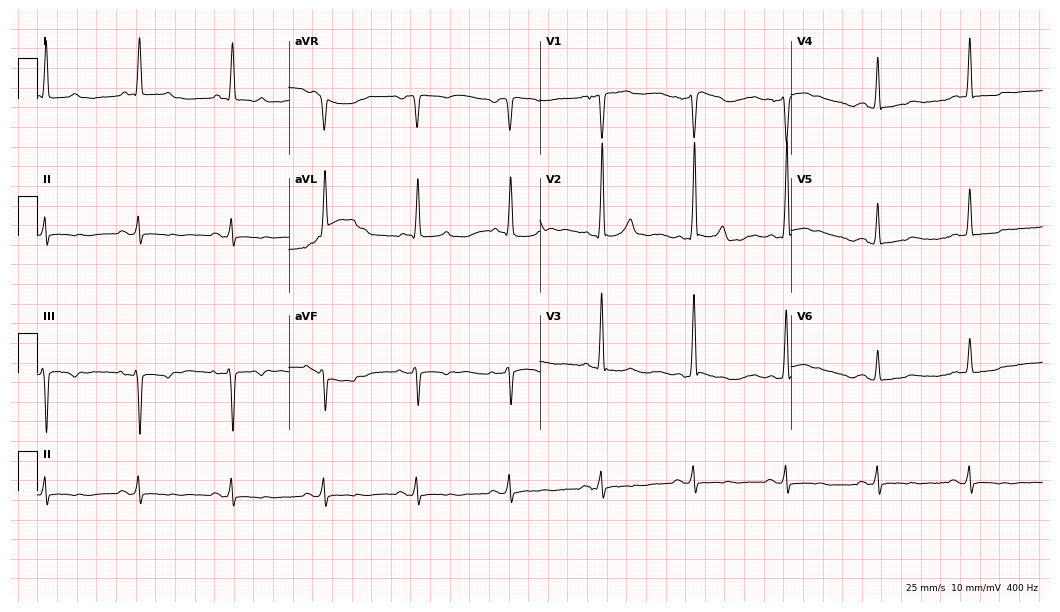
Resting 12-lead electrocardiogram (10.2-second recording at 400 Hz). Patient: an 85-year-old female. None of these six findings is recorded: first-degree AV block, right bundle branch block, left bundle branch block, sinus bradycardia, atrial fibrillation, sinus tachycardia. Findings outside these six are not listed.